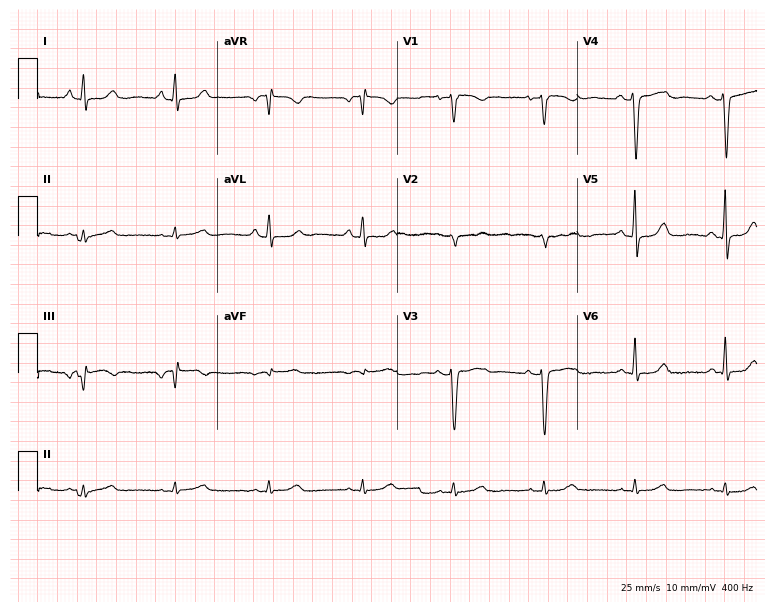
ECG (7.3-second recording at 400 Hz) — a woman, 60 years old. Screened for six findings — first-degree AV block, right bundle branch block, left bundle branch block, sinus bradycardia, atrial fibrillation, sinus tachycardia — none is recorded.